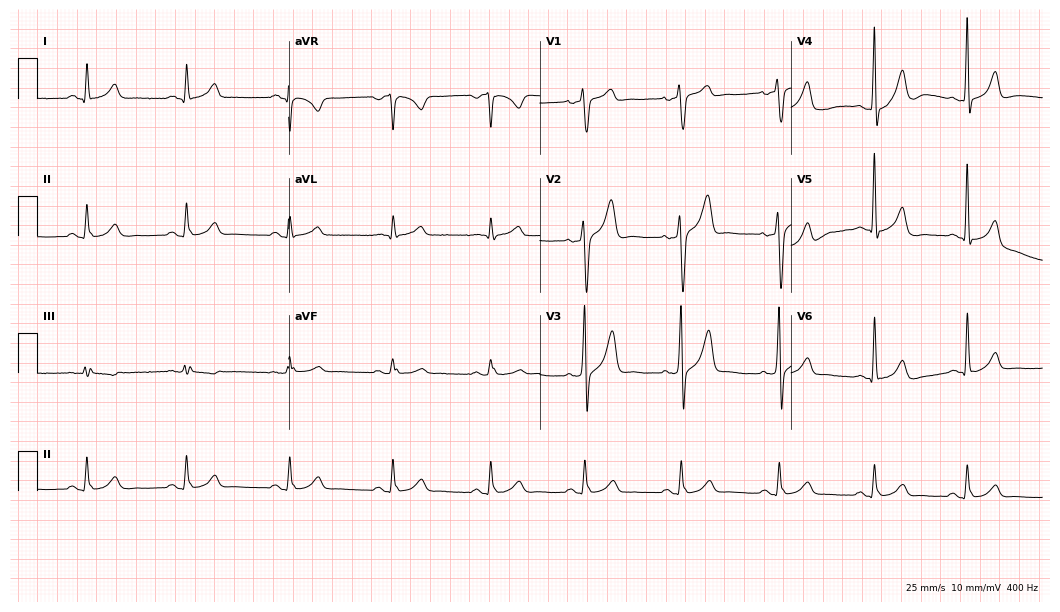
Resting 12-lead electrocardiogram (10.2-second recording at 400 Hz). Patient: a male, 44 years old. Read as a normal ECG.